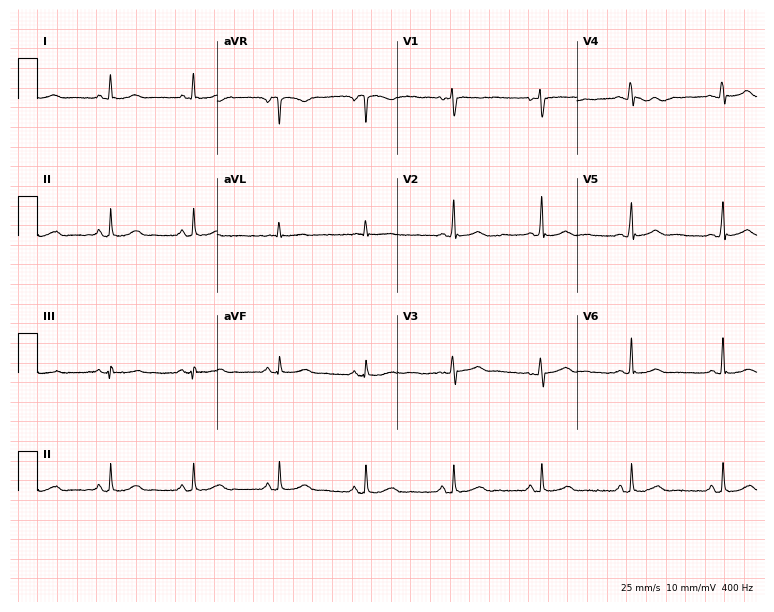
Electrocardiogram, a woman, 47 years old. Overall reading on record: normal ECG.